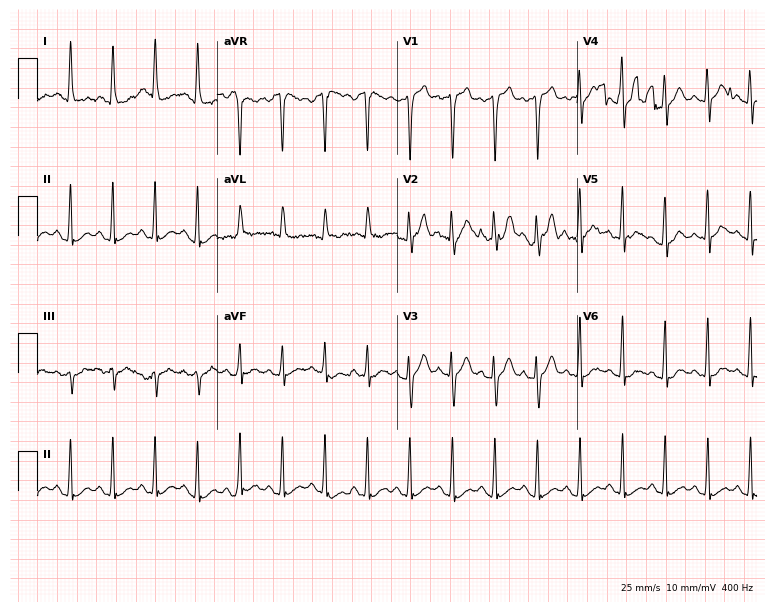
12-lead ECG from a 32-year-old male patient. Findings include sinus tachycardia (a sinus rate of 100 beats per minute or more).